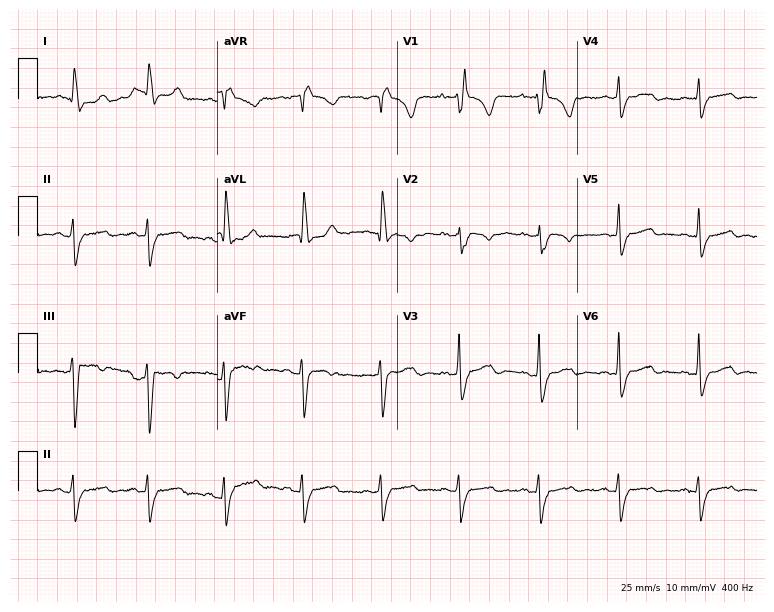
Standard 12-lead ECG recorded from a 58-year-old woman. The tracing shows right bundle branch block (RBBB).